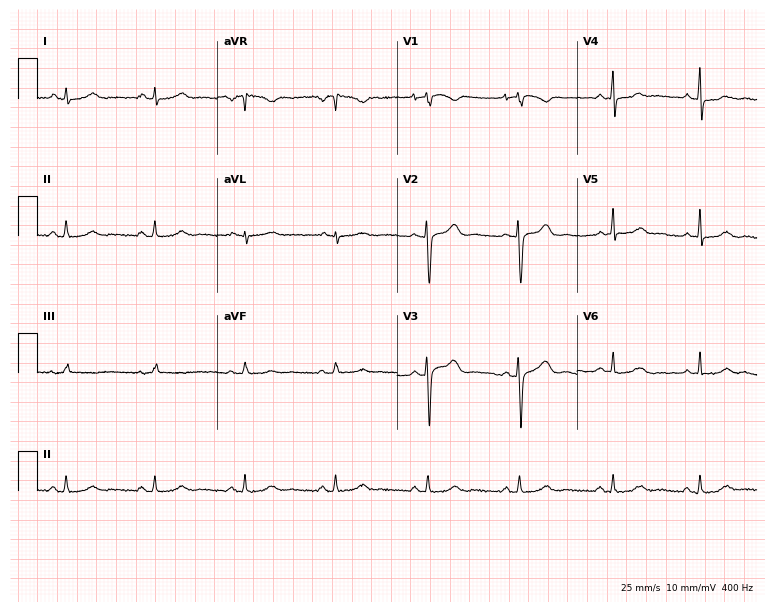
Standard 12-lead ECG recorded from a 41-year-old female patient. None of these six findings is recorded: first-degree AV block, right bundle branch block (RBBB), left bundle branch block (LBBB), sinus bradycardia, atrial fibrillation (AF), sinus tachycardia.